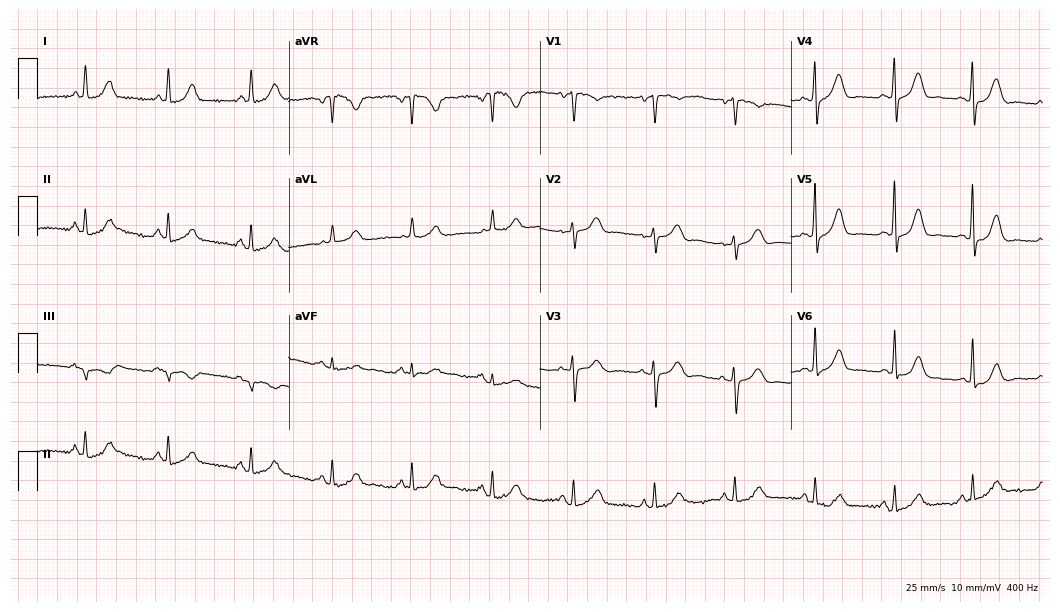
Electrocardiogram (10.2-second recording at 400 Hz), a 58-year-old female. Overall reading on record: normal ECG.